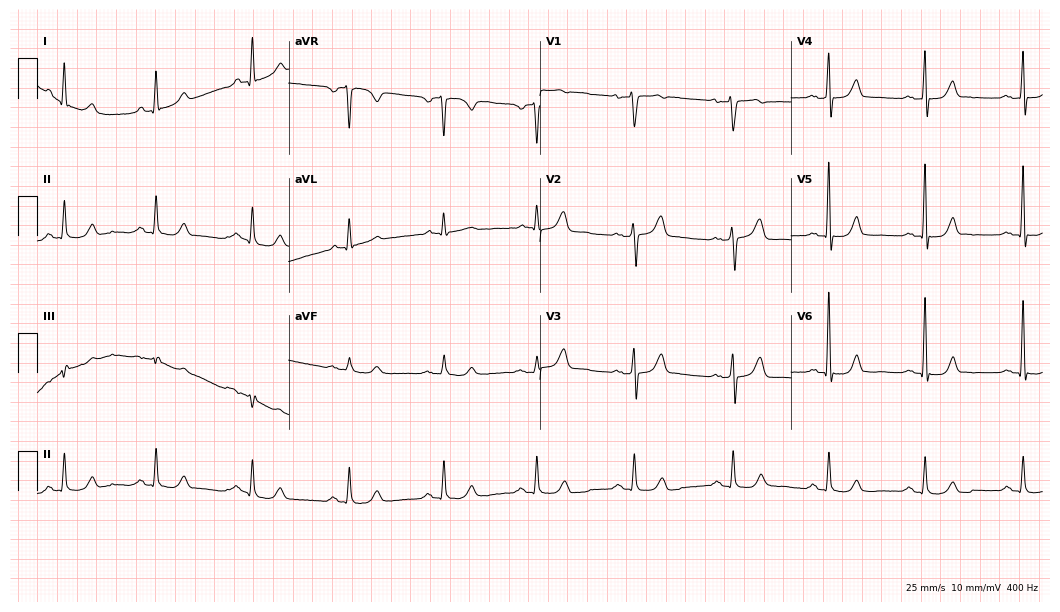
12-lead ECG from a female, 61 years old. Labelled as a normal ECG.